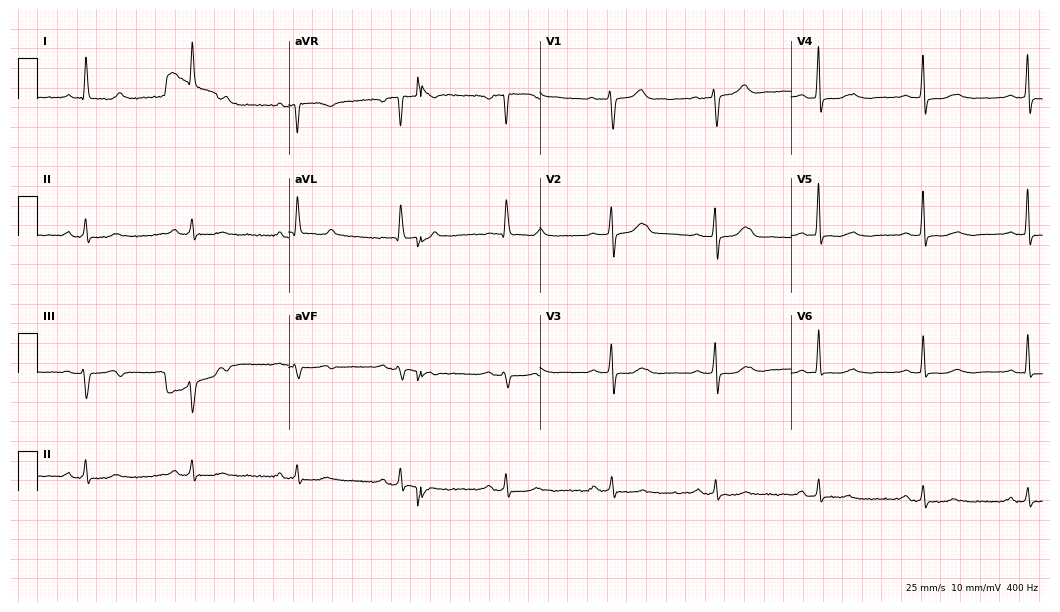
12-lead ECG from an 83-year-old female (10.2-second recording at 400 Hz). No first-degree AV block, right bundle branch block, left bundle branch block, sinus bradycardia, atrial fibrillation or sinus tachycardia recorded for this tracing. Only these six findings were labelled.